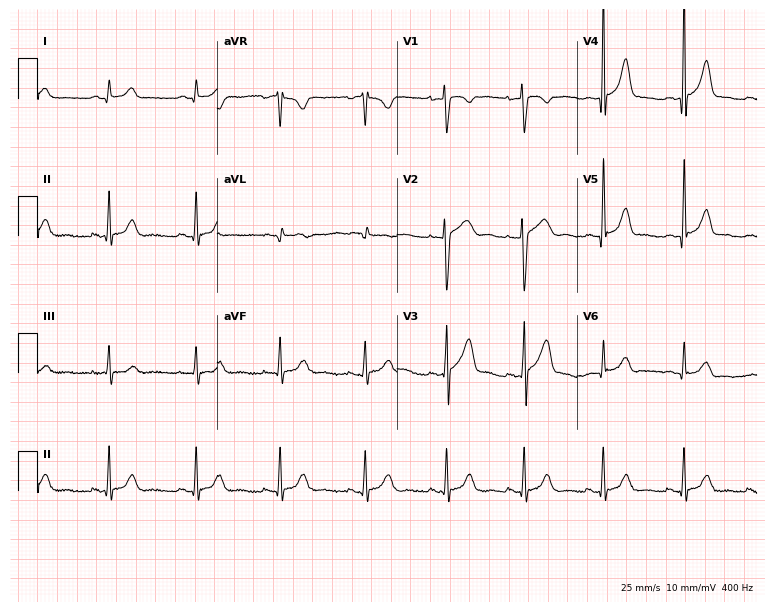
Resting 12-lead electrocardiogram. Patient: a female, 37 years old. Read as a normal ECG.